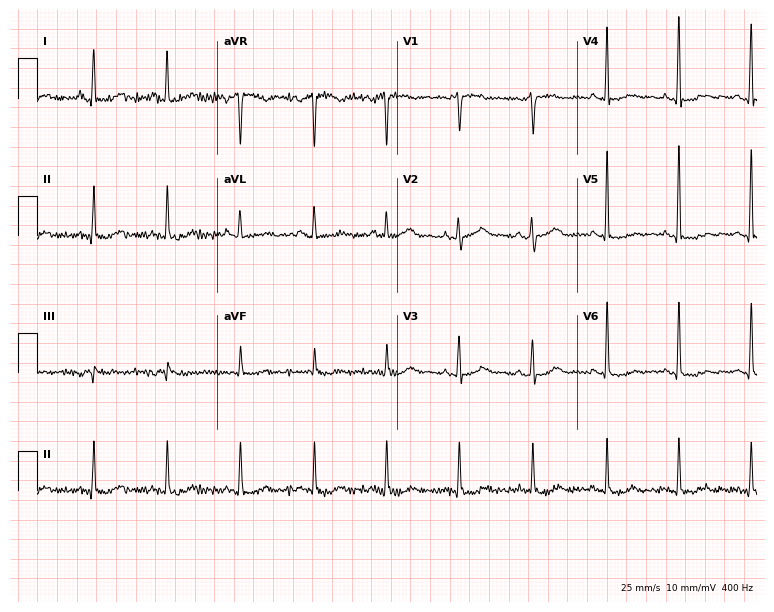
12-lead ECG from a female, 51 years old. Screened for six findings — first-degree AV block, right bundle branch block, left bundle branch block, sinus bradycardia, atrial fibrillation, sinus tachycardia — none is recorded.